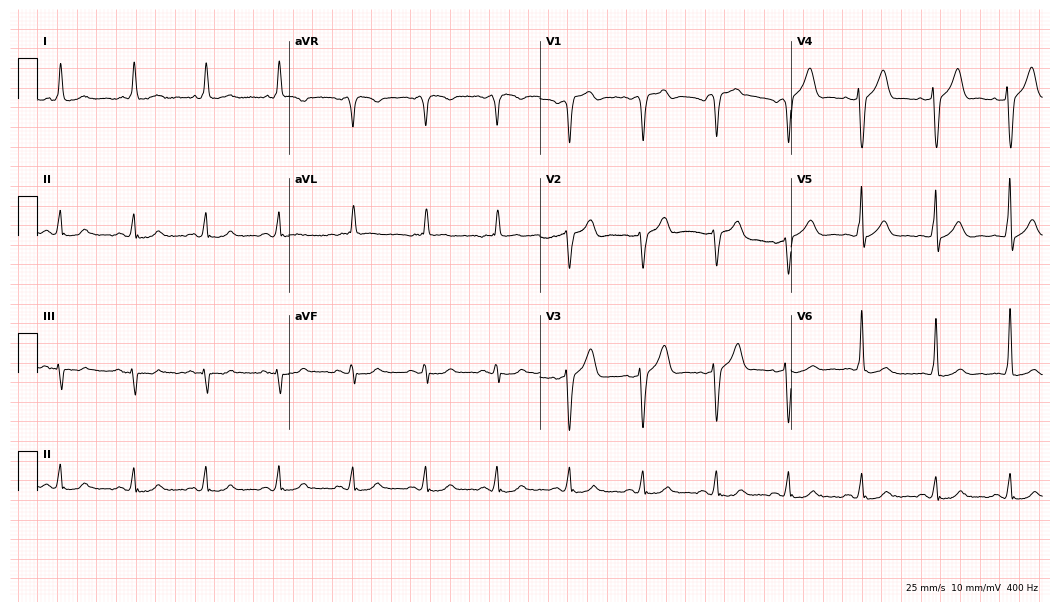
12-lead ECG from an 85-year-old man. Recorded interpretation: within normal limits.